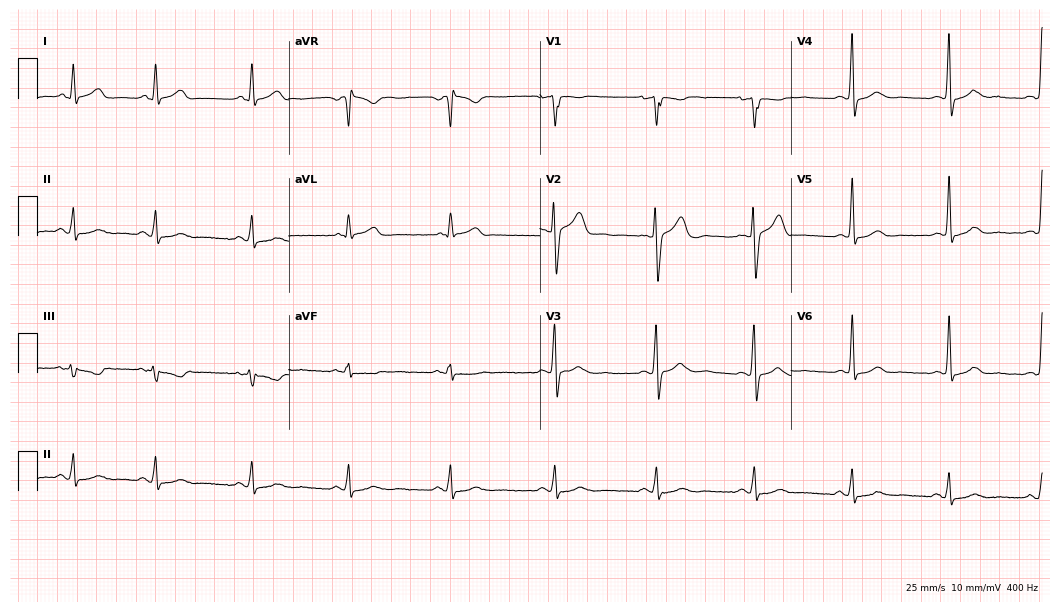
12-lead ECG from a male patient, 33 years old. Labelled as a normal ECG.